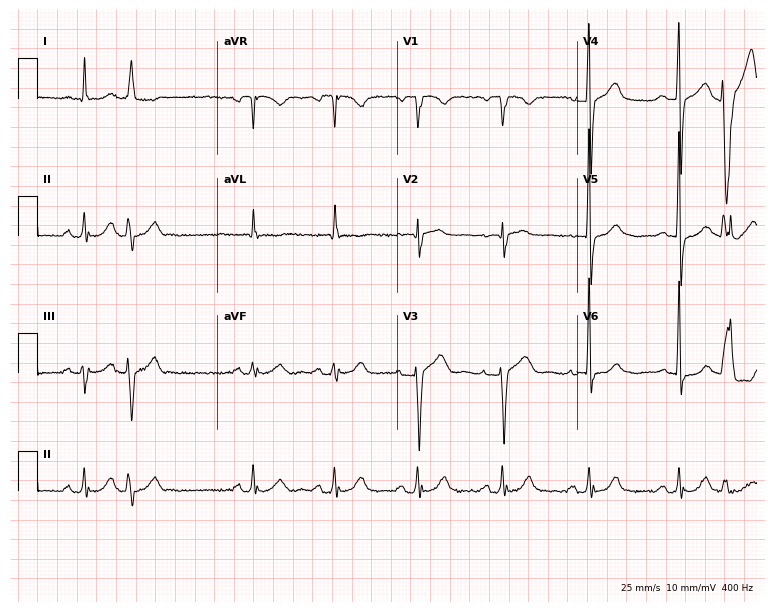
Standard 12-lead ECG recorded from a 76-year-old male patient. None of these six findings is recorded: first-degree AV block, right bundle branch block (RBBB), left bundle branch block (LBBB), sinus bradycardia, atrial fibrillation (AF), sinus tachycardia. Other findings, if any, are not listed.